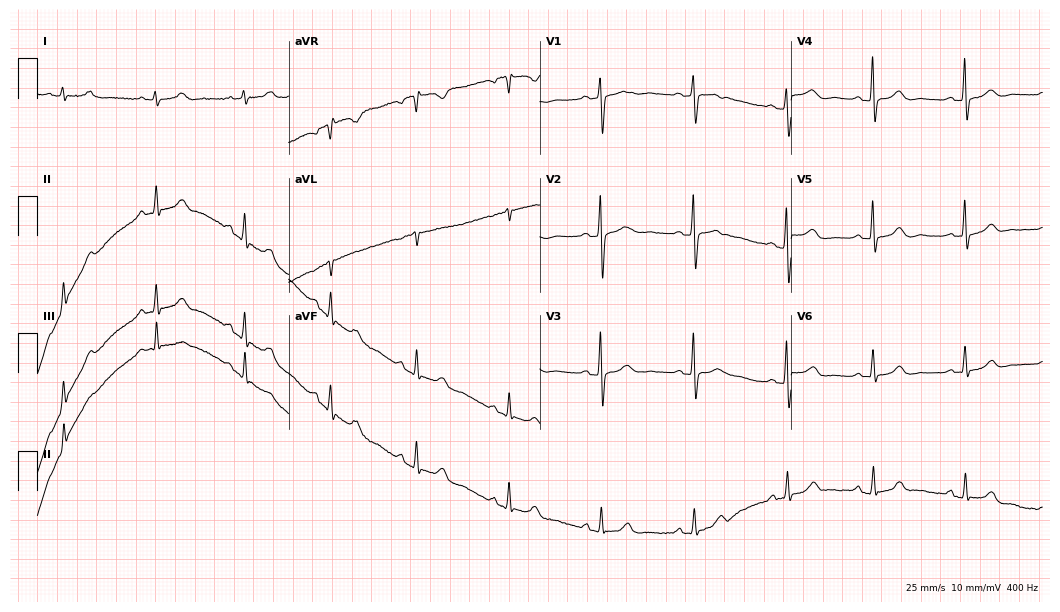
Electrocardiogram (10.2-second recording at 400 Hz), a female, 70 years old. Overall reading on record: normal ECG.